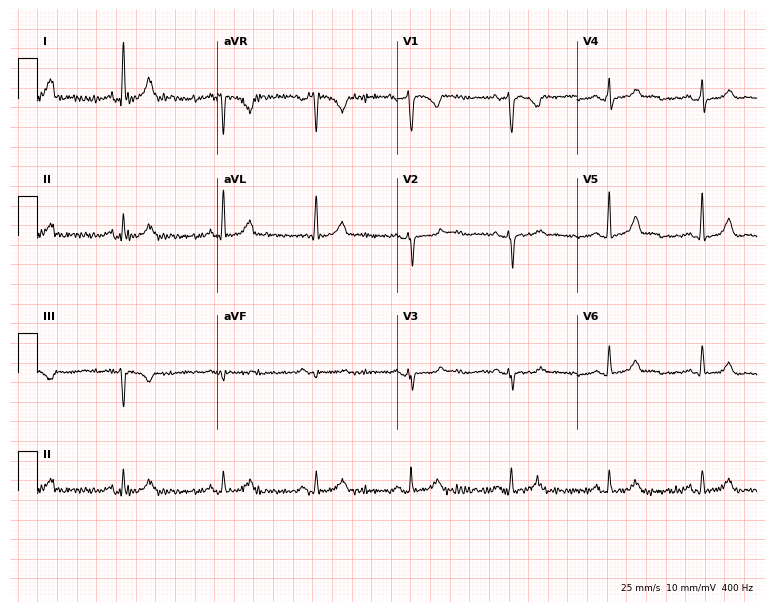
ECG — a woman, 44 years old. Screened for six findings — first-degree AV block, right bundle branch block, left bundle branch block, sinus bradycardia, atrial fibrillation, sinus tachycardia — none is recorded. Only these six findings were labelled.